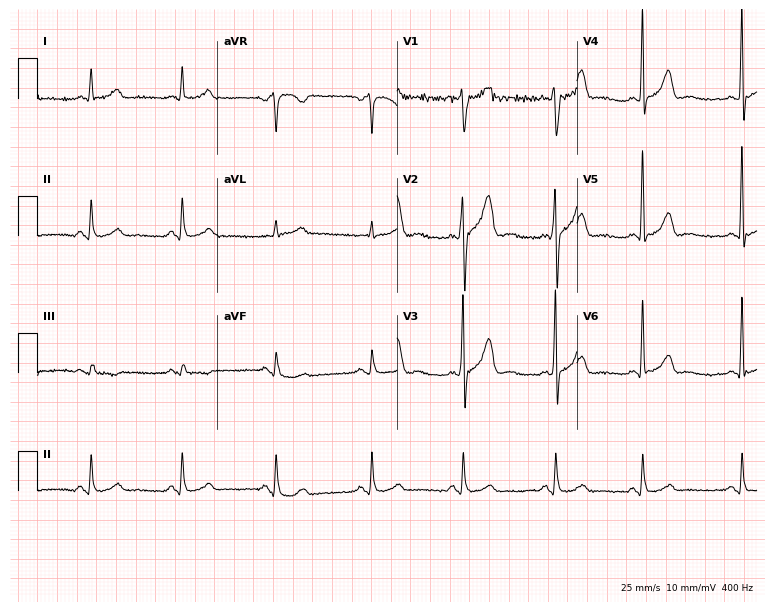
12-lead ECG from a 72-year-old man. Labelled as a normal ECG.